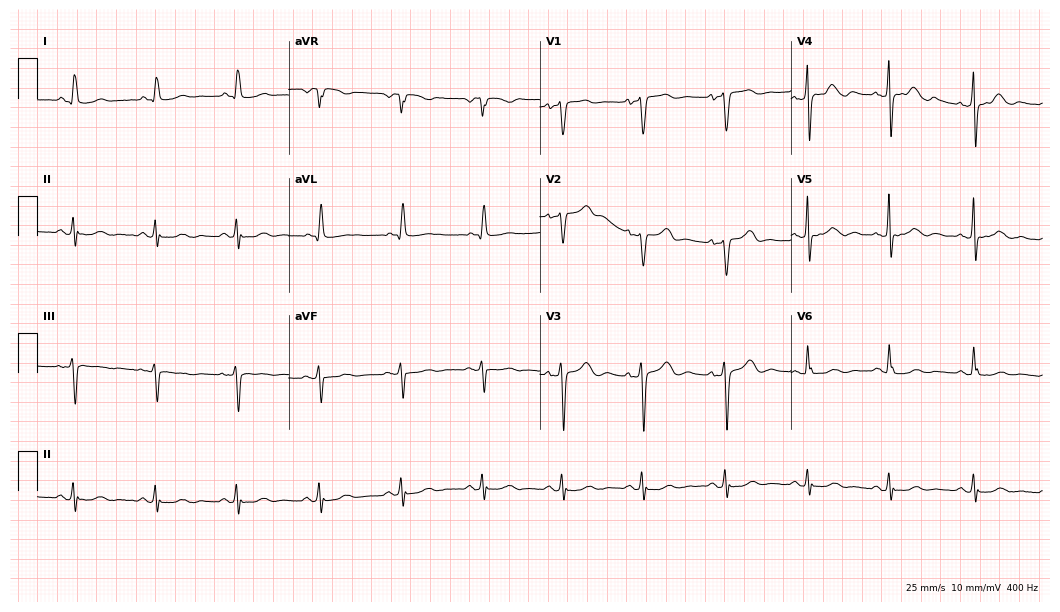
12-lead ECG from a female, 59 years old. No first-degree AV block, right bundle branch block (RBBB), left bundle branch block (LBBB), sinus bradycardia, atrial fibrillation (AF) or sinus tachycardia recorded for this tracing.